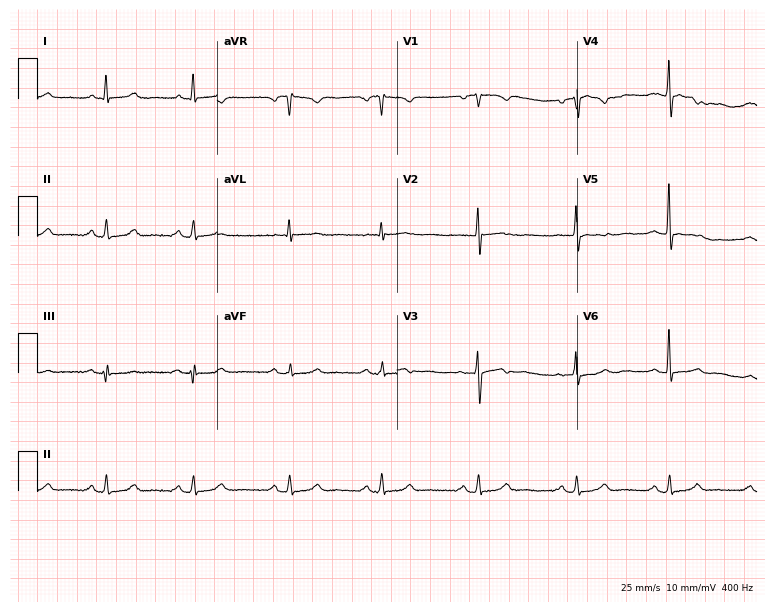
12-lead ECG (7.3-second recording at 400 Hz) from a 51-year-old female. Screened for six findings — first-degree AV block, right bundle branch block, left bundle branch block, sinus bradycardia, atrial fibrillation, sinus tachycardia — none is recorded.